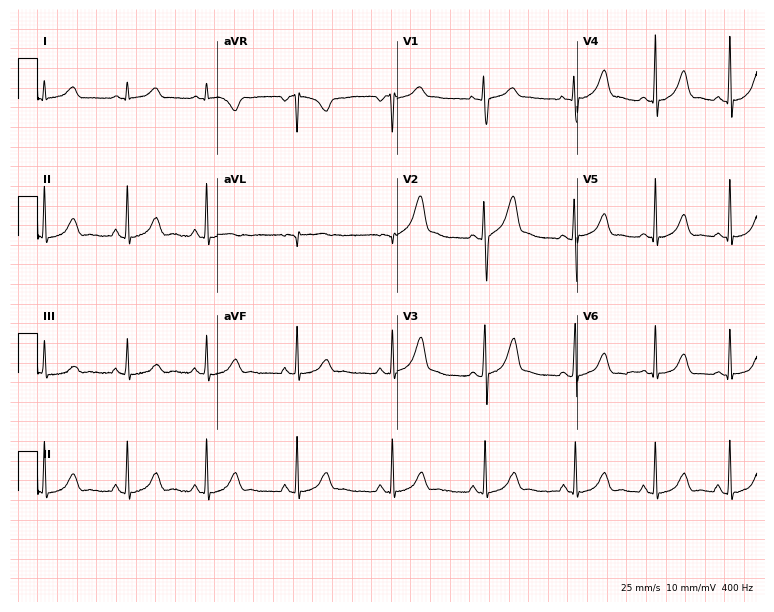
12-lead ECG from a 23-year-old female patient (7.3-second recording at 400 Hz). No first-degree AV block, right bundle branch block, left bundle branch block, sinus bradycardia, atrial fibrillation or sinus tachycardia recorded for this tracing.